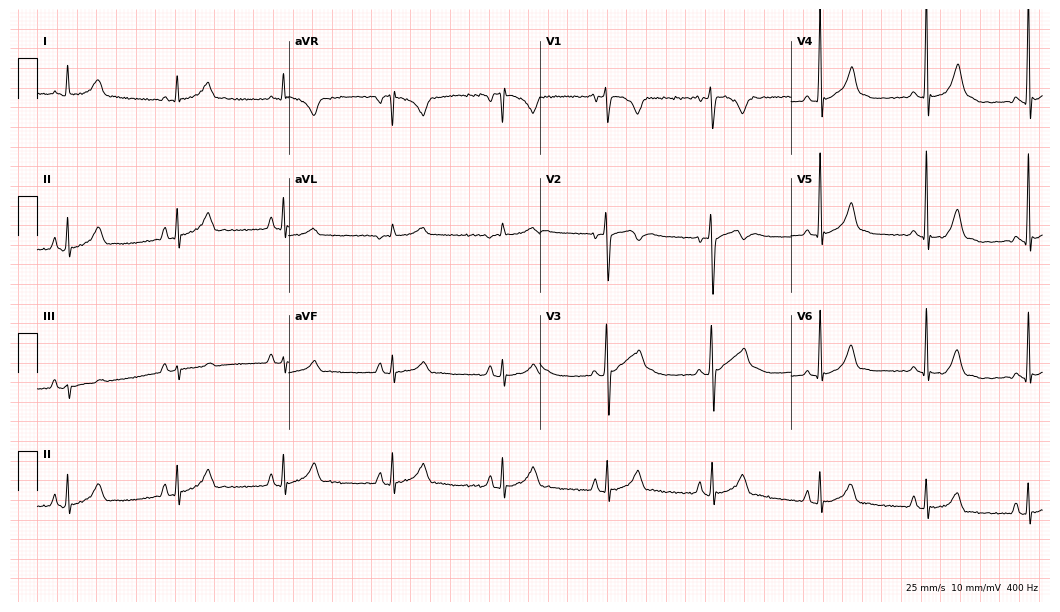
Resting 12-lead electrocardiogram. Patient: a 17-year-old man. None of these six findings is recorded: first-degree AV block, right bundle branch block, left bundle branch block, sinus bradycardia, atrial fibrillation, sinus tachycardia.